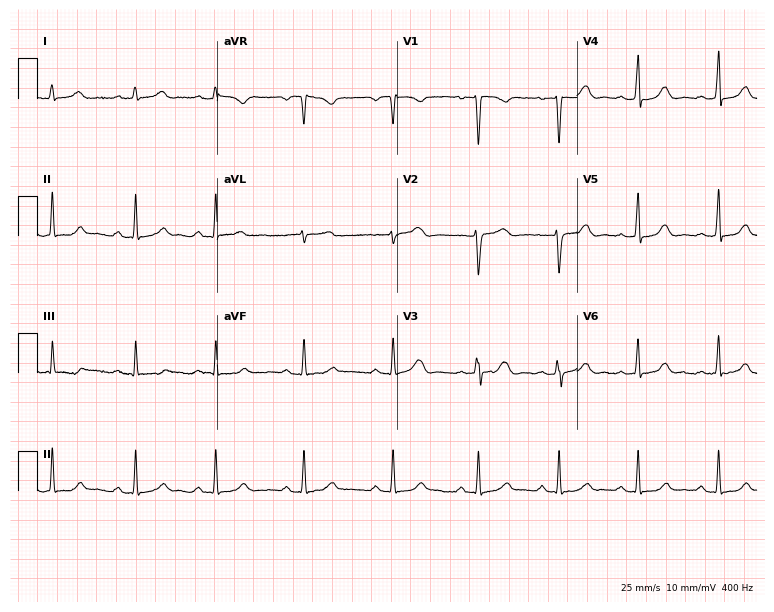
Electrocardiogram, a female, 37 years old. Overall reading on record: normal ECG.